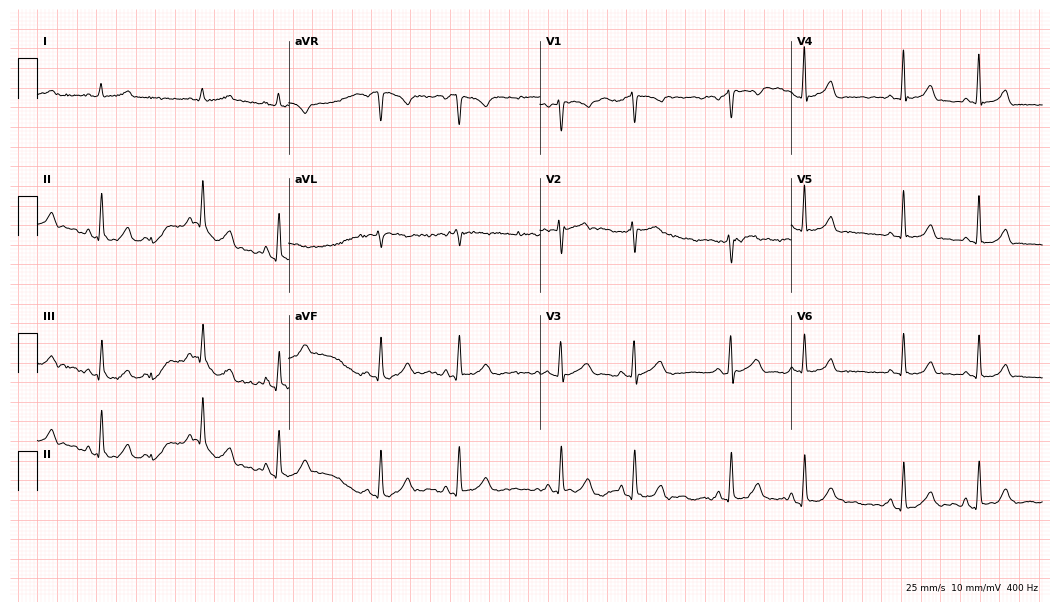
12-lead ECG from a 50-year-old female. Recorded interpretation: within normal limits.